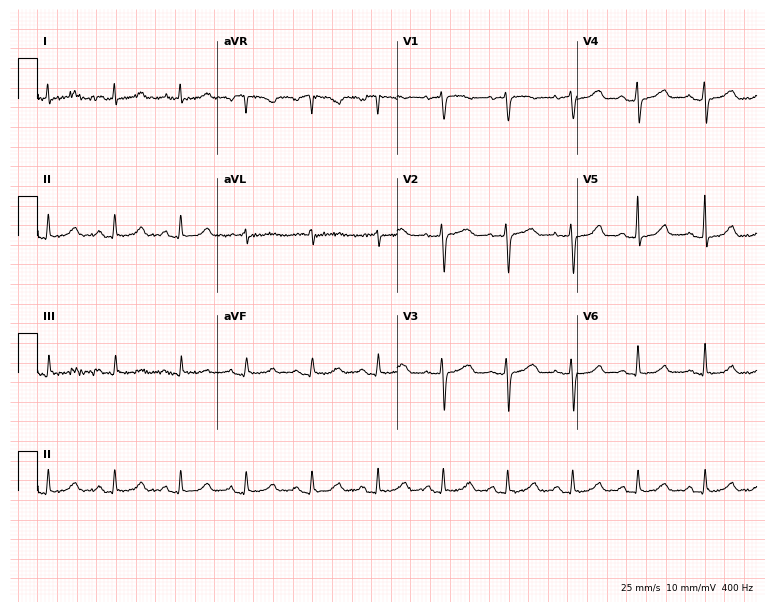
Electrocardiogram, a woman, 68 years old. Overall reading on record: normal ECG.